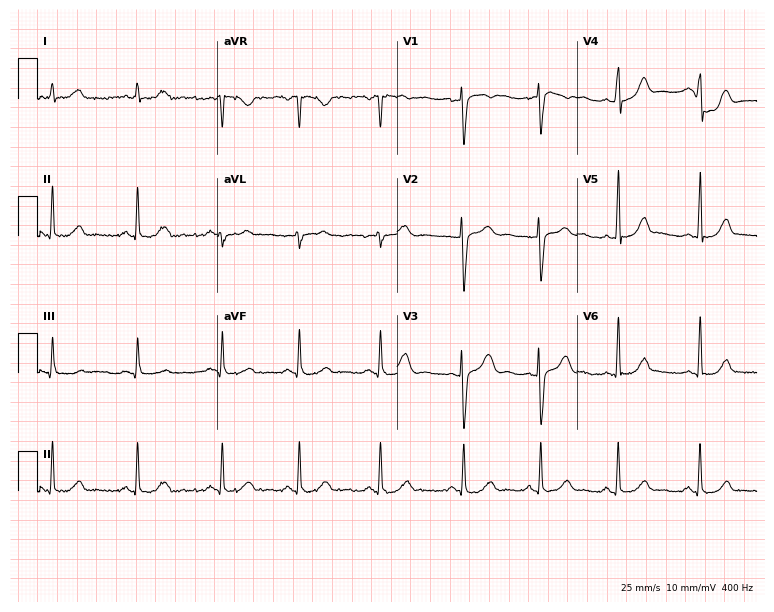
12-lead ECG from a 29-year-old female (7.3-second recording at 400 Hz). Recorded interpretation: within normal limits.